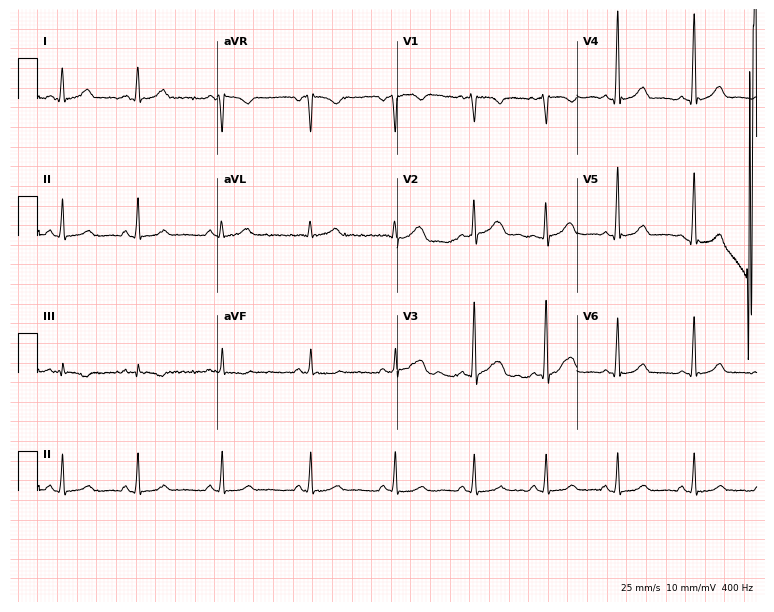
Electrocardiogram (7.3-second recording at 400 Hz), a 35-year-old female. Overall reading on record: normal ECG.